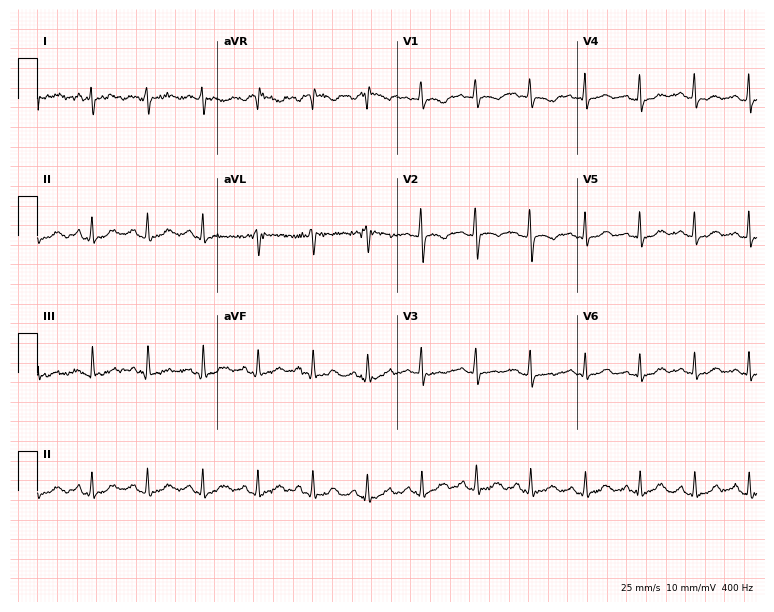
12-lead ECG from a female patient, 42 years old (7.3-second recording at 400 Hz). No first-degree AV block, right bundle branch block, left bundle branch block, sinus bradycardia, atrial fibrillation or sinus tachycardia recorded for this tracing.